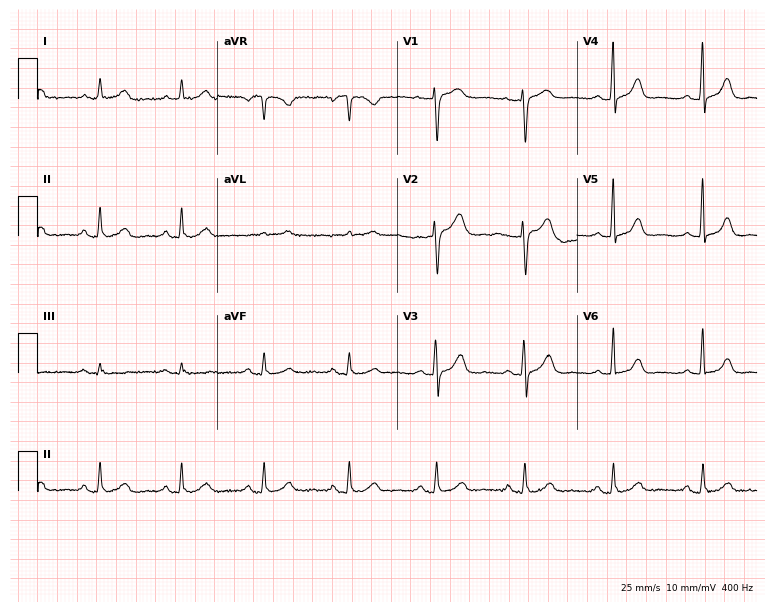
12-lead ECG from a female, 62 years old (7.3-second recording at 400 Hz). Recorded interpretation: within normal limits.